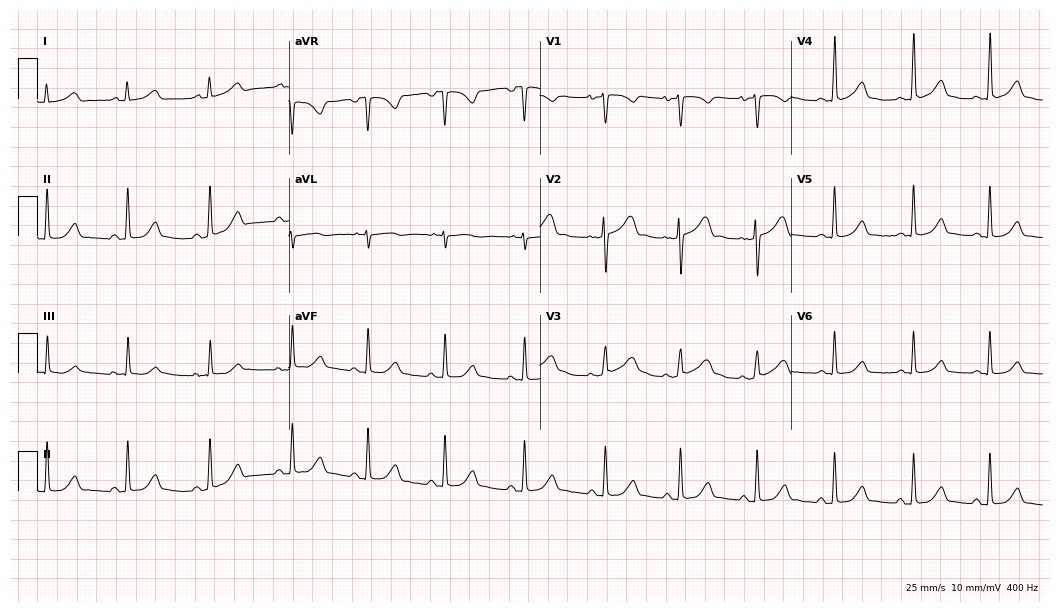
Resting 12-lead electrocardiogram. Patient: a woman, 25 years old. Read as a normal ECG.